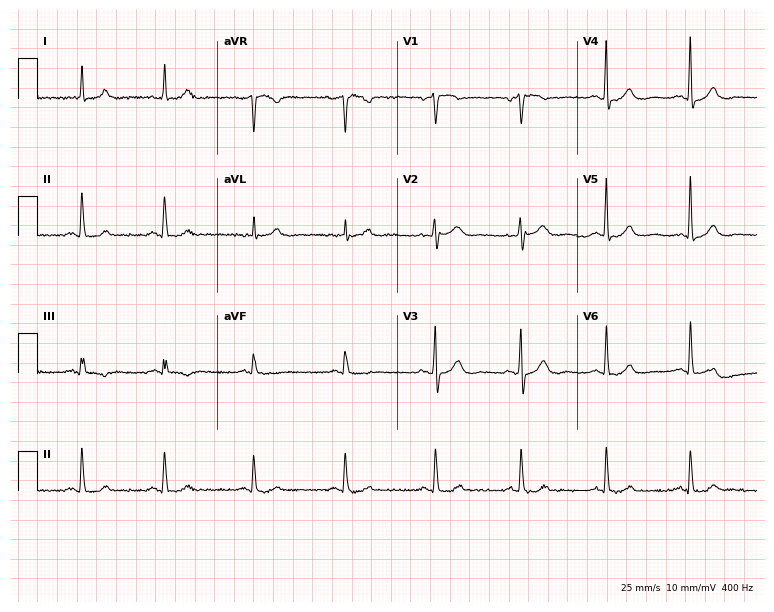
12-lead ECG (7.3-second recording at 400 Hz) from a female patient, 72 years old. Labelled as a normal ECG.